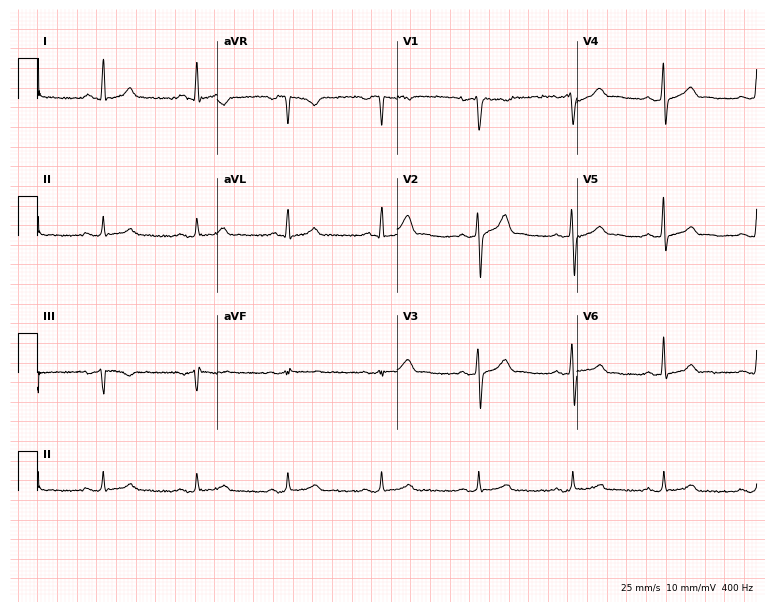
Standard 12-lead ECG recorded from a 37-year-old man (7.3-second recording at 400 Hz). Read as a normal ECG.